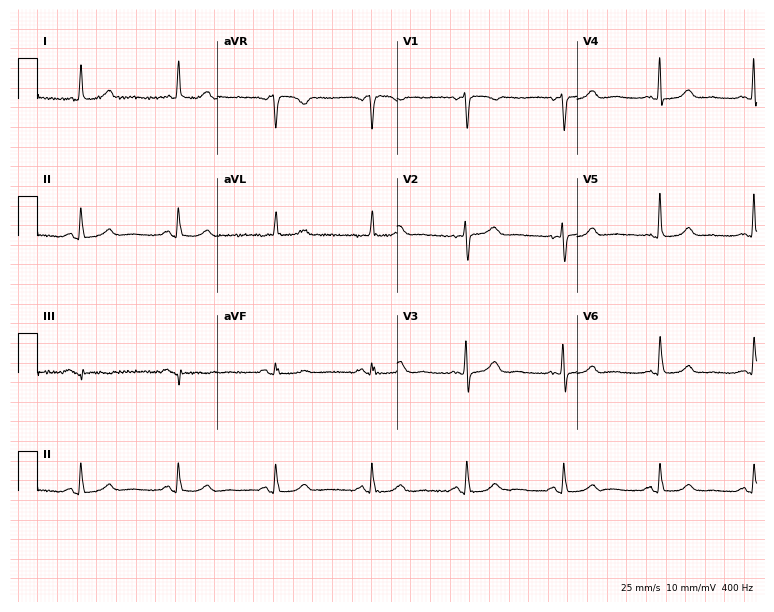
Resting 12-lead electrocardiogram (7.3-second recording at 400 Hz). Patient: a woman, 72 years old. Read as a normal ECG.